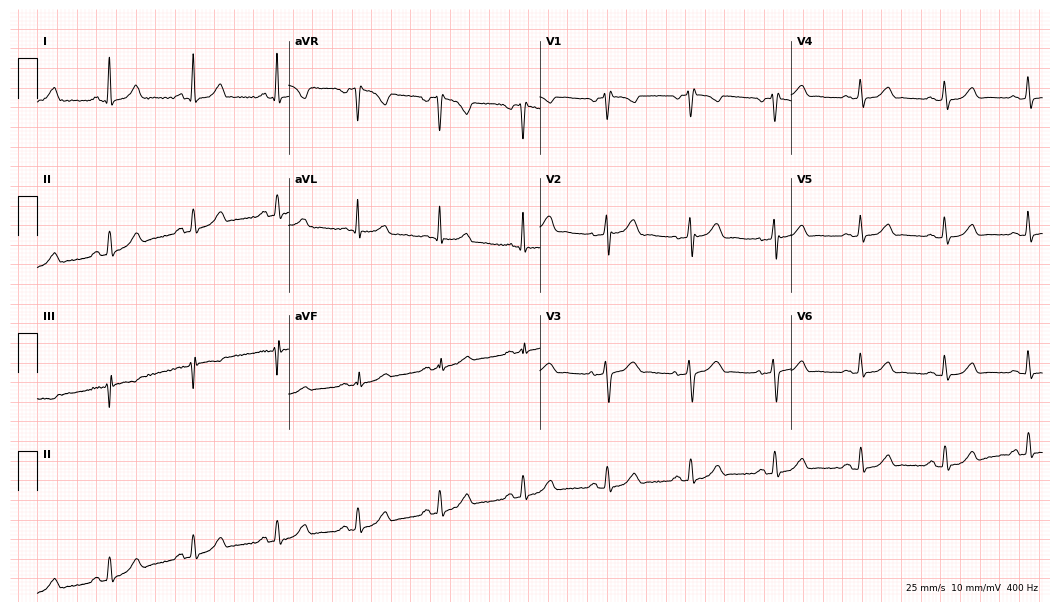
ECG (10.2-second recording at 400 Hz) — a female, 58 years old. Screened for six findings — first-degree AV block, right bundle branch block (RBBB), left bundle branch block (LBBB), sinus bradycardia, atrial fibrillation (AF), sinus tachycardia — none is recorded.